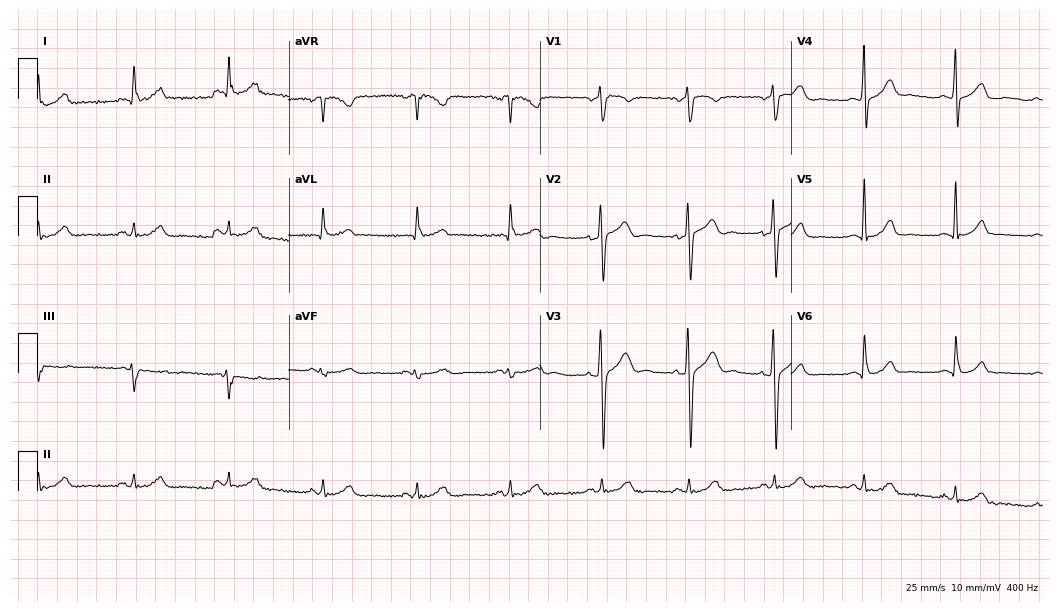
12-lead ECG from a male, 55 years old. Recorded interpretation: within normal limits.